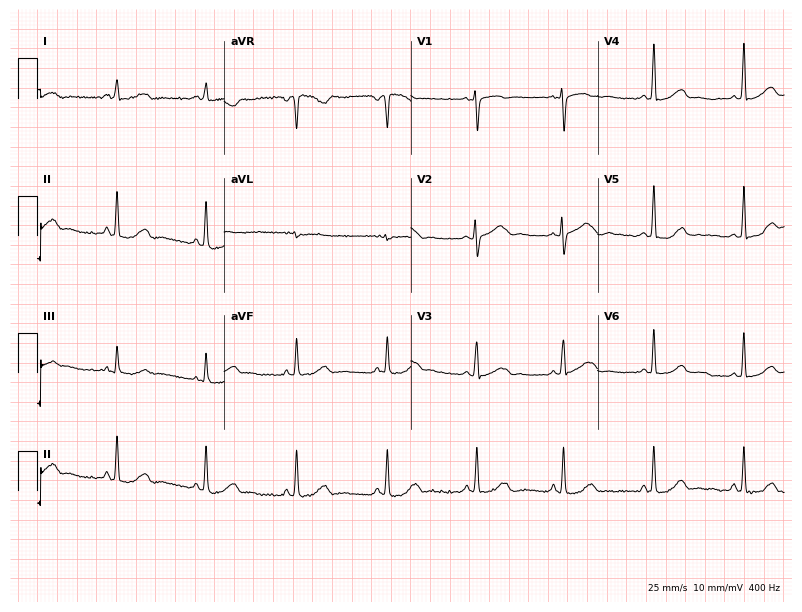
Electrocardiogram (7.6-second recording at 400 Hz), a female, 33 years old. Of the six screened findings (first-degree AV block, right bundle branch block, left bundle branch block, sinus bradycardia, atrial fibrillation, sinus tachycardia), none is recorded.